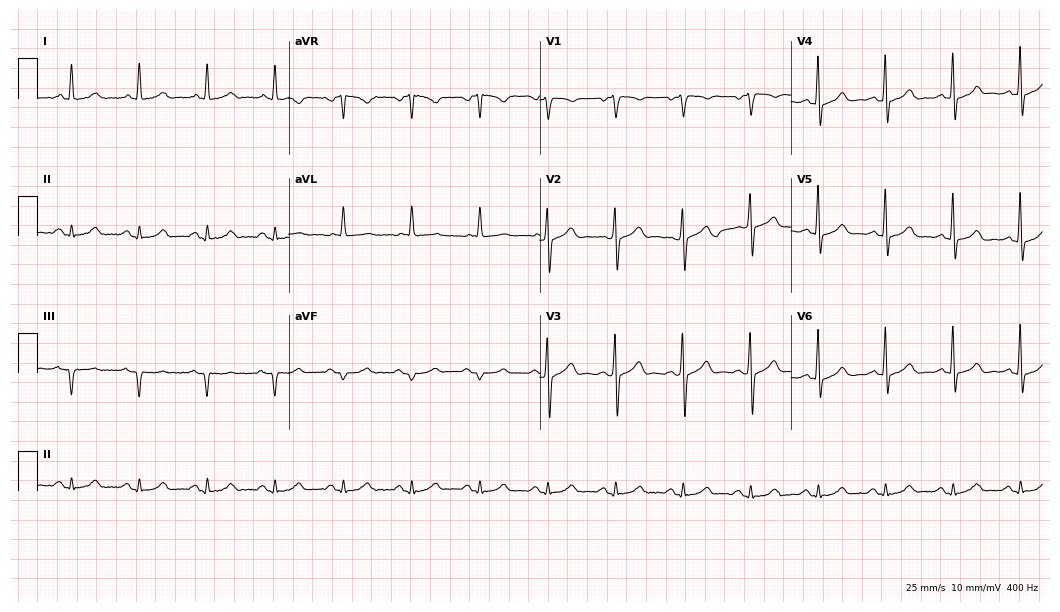
Standard 12-lead ECG recorded from an 84-year-old male. Read as a normal ECG.